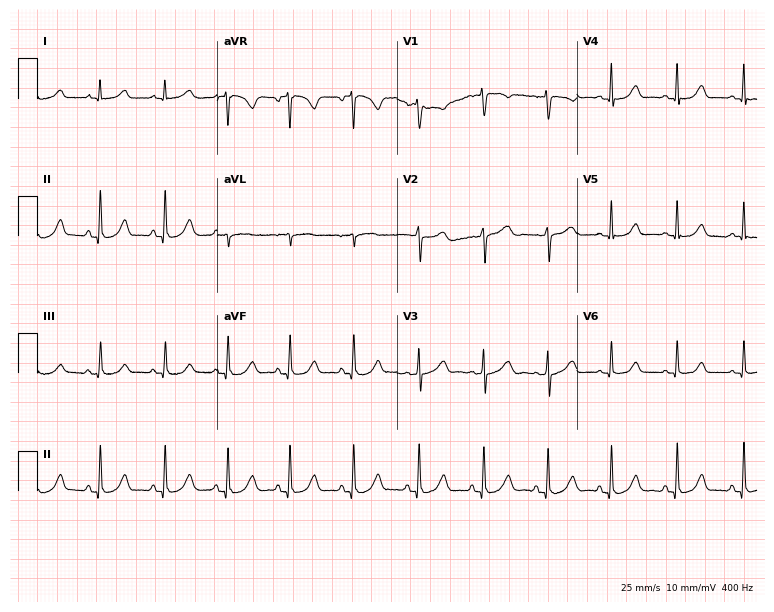
12-lead ECG from a 41-year-old female (7.3-second recording at 400 Hz). Recorded interpretation: within normal limits.